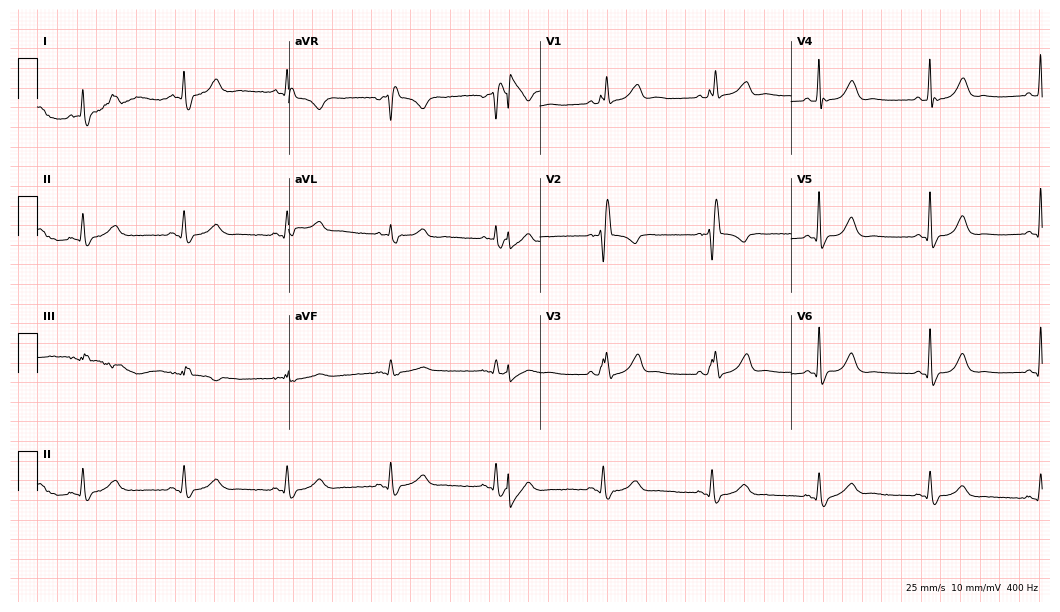
Resting 12-lead electrocardiogram. Patient: a female, 60 years old. None of these six findings is recorded: first-degree AV block, right bundle branch block (RBBB), left bundle branch block (LBBB), sinus bradycardia, atrial fibrillation (AF), sinus tachycardia. Only these six findings were labelled.